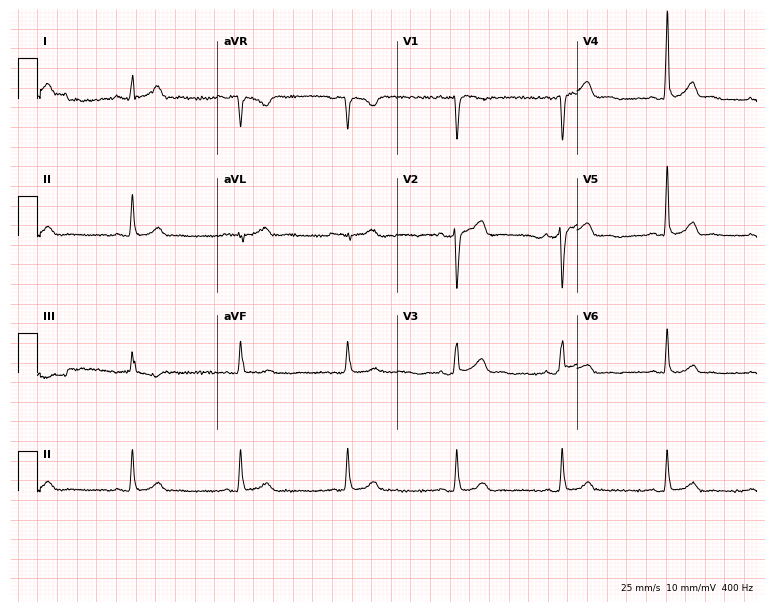
Electrocardiogram (7.3-second recording at 400 Hz), a 36-year-old man. Overall reading on record: normal ECG.